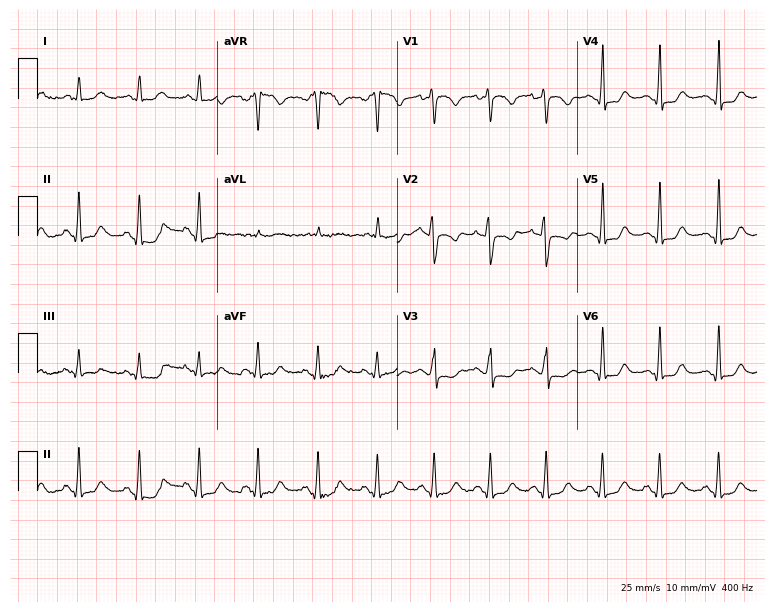
Standard 12-lead ECG recorded from a 23-year-old female (7.3-second recording at 400 Hz). None of these six findings is recorded: first-degree AV block, right bundle branch block (RBBB), left bundle branch block (LBBB), sinus bradycardia, atrial fibrillation (AF), sinus tachycardia.